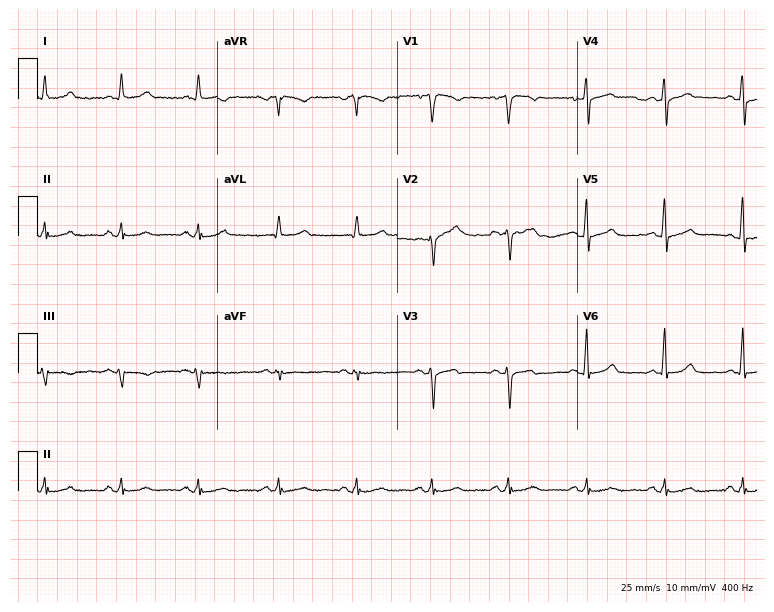
12-lead ECG from a 57-year-old male (7.3-second recording at 400 Hz). Recorded interpretation: within normal limits.